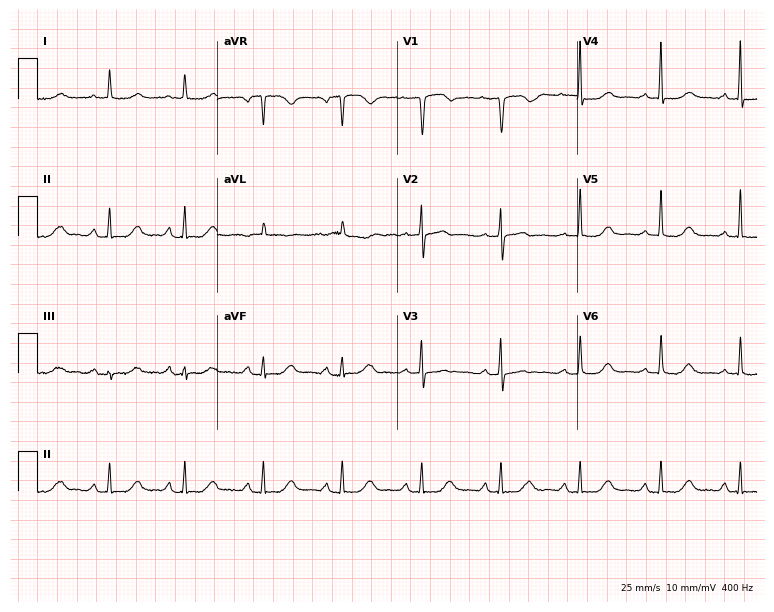
Resting 12-lead electrocardiogram (7.3-second recording at 400 Hz). Patient: a female, 66 years old. None of these six findings is recorded: first-degree AV block, right bundle branch block (RBBB), left bundle branch block (LBBB), sinus bradycardia, atrial fibrillation (AF), sinus tachycardia.